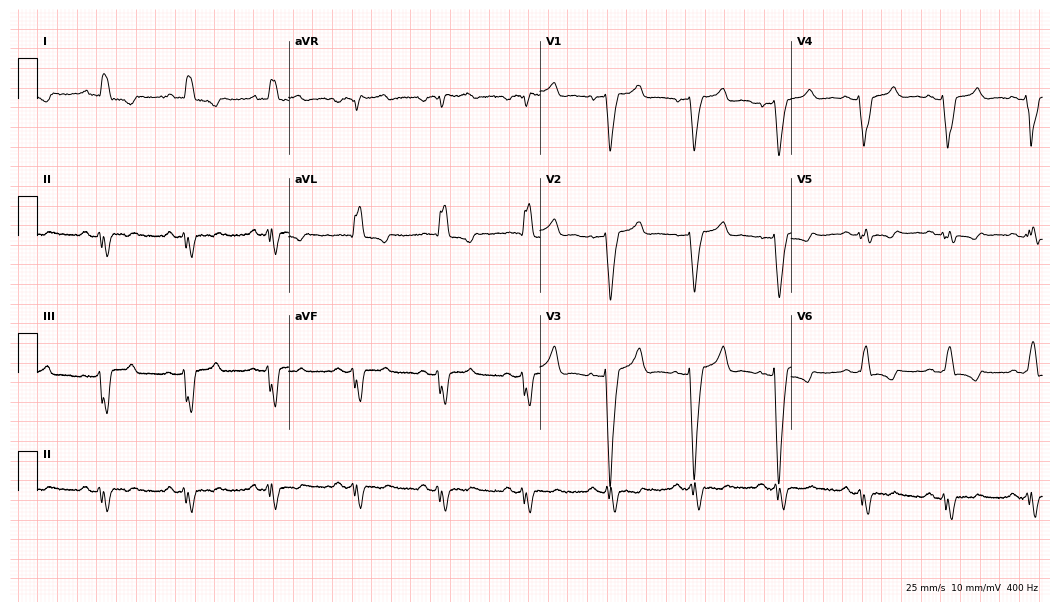
Standard 12-lead ECG recorded from a female patient, 72 years old. None of these six findings is recorded: first-degree AV block, right bundle branch block, left bundle branch block, sinus bradycardia, atrial fibrillation, sinus tachycardia. Other findings, if any, are not listed.